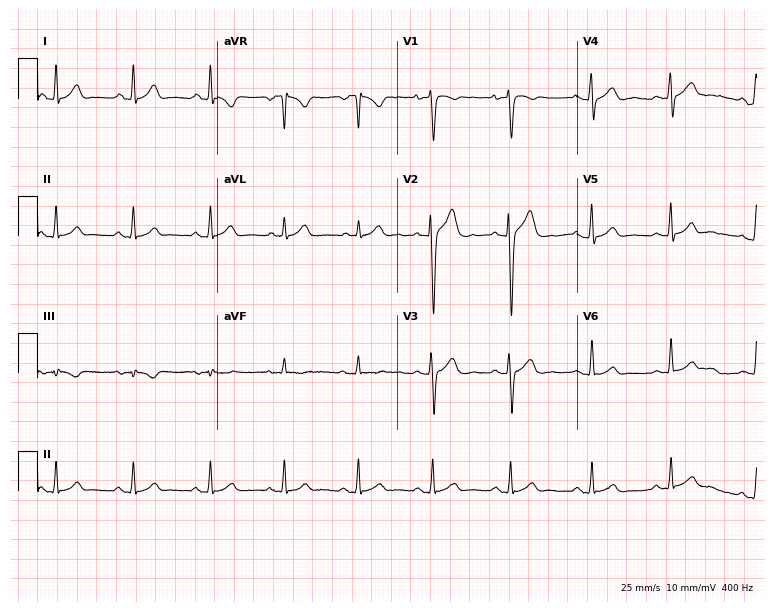
Electrocardiogram (7.3-second recording at 400 Hz), a male, 34 years old. Overall reading on record: normal ECG.